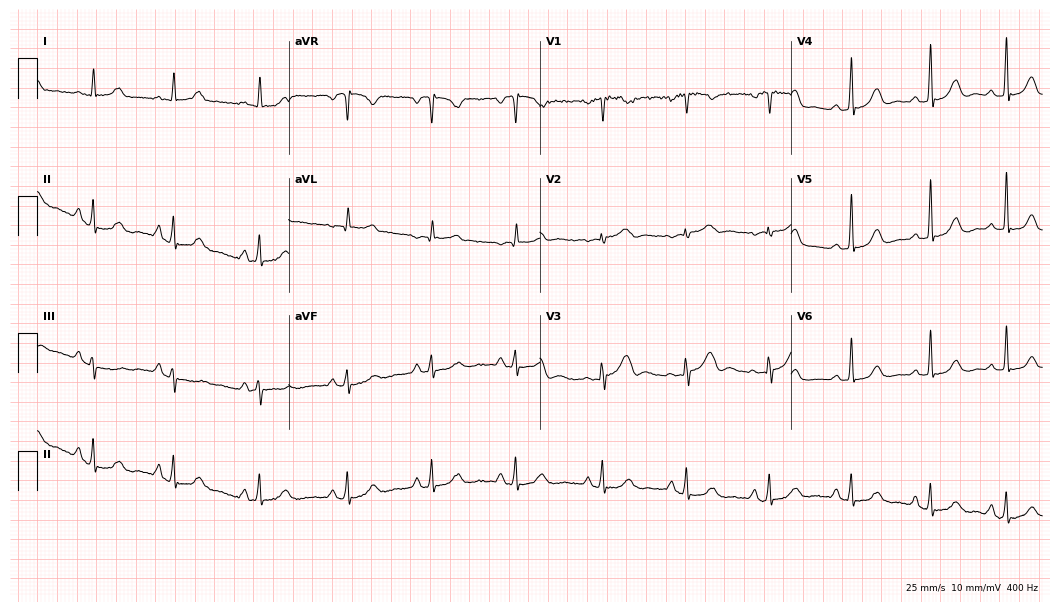
12-lead ECG (10.2-second recording at 400 Hz) from a woman, 54 years old. Screened for six findings — first-degree AV block, right bundle branch block, left bundle branch block, sinus bradycardia, atrial fibrillation, sinus tachycardia — none is recorded.